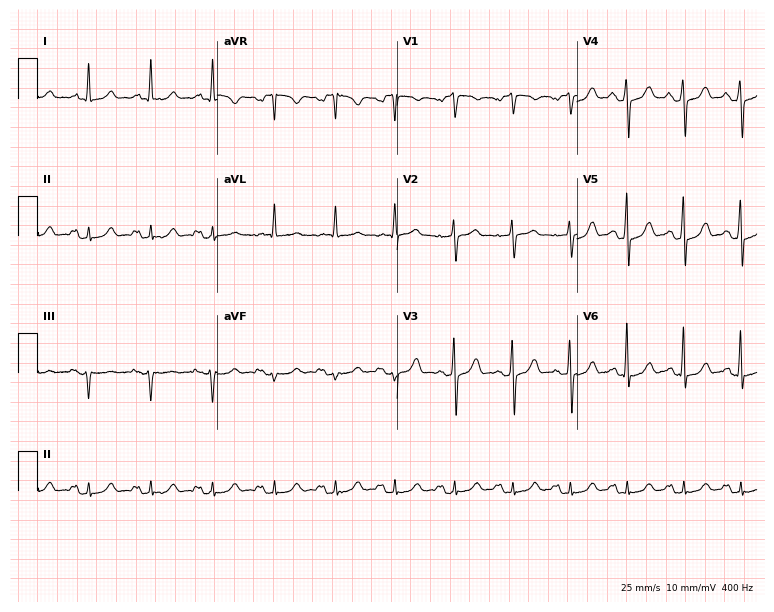
Resting 12-lead electrocardiogram (7.3-second recording at 400 Hz). Patient: a male, 75 years old. None of these six findings is recorded: first-degree AV block, right bundle branch block (RBBB), left bundle branch block (LBBB), sinus bradycardia, atrial fibrillation (AF), sinus tachycardia. Other findings, if any, are not listed.